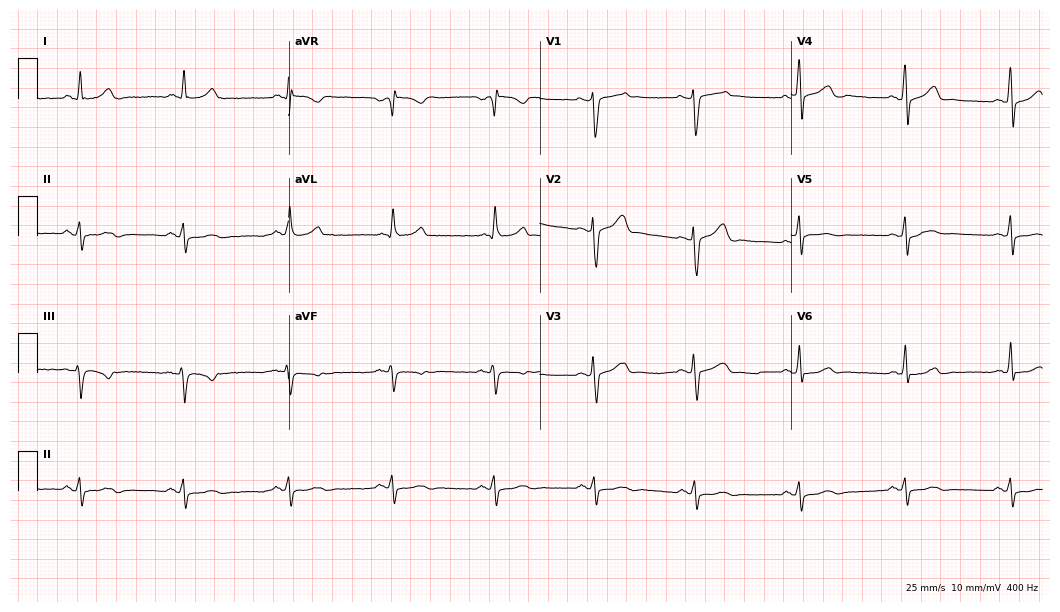
Standard 12-lead ECG recorded from a man, 46 years old (10.2-second recording at 400 Hz). None of these six findings is recorded: first-degree AV block, right bundle branch block (RBBB), left bundle branch block (LBBB), sinus bradycardia, atrial fibrillation (AF), sinus tachycardia.